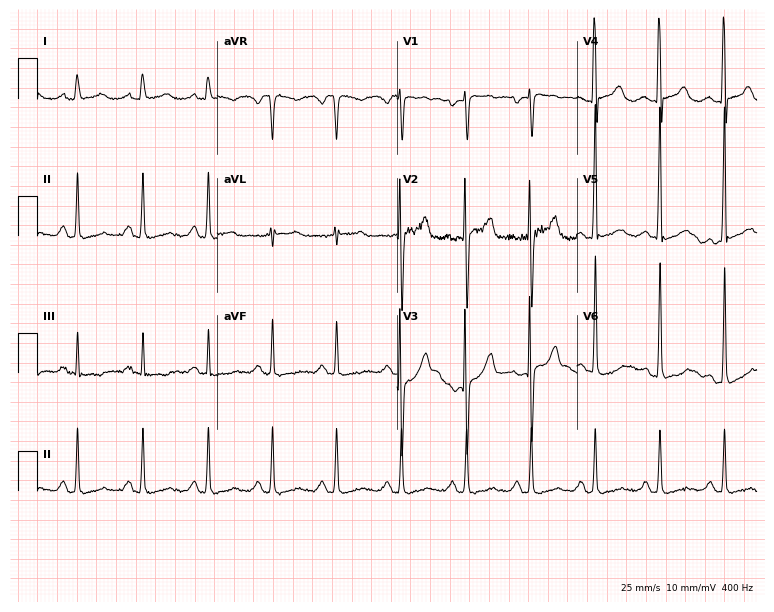
Standard 12-lead ECG recorded from a woman, 47 years old (7.3-second recording at 400 Hz). Read as a normal ECG.